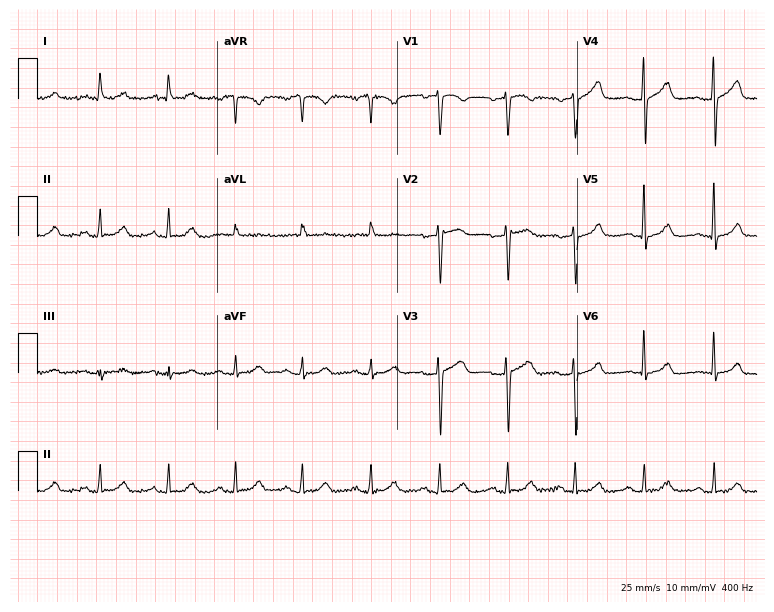
12-lead ECG from a 55-year-old woman (7.3-second recording at 400 Hz). No first-degree AV block, right bundle branch block, left bundle branch block, sinus bradycardia, atrial fibrillation or sinus tachycardia recorded for this tracing.